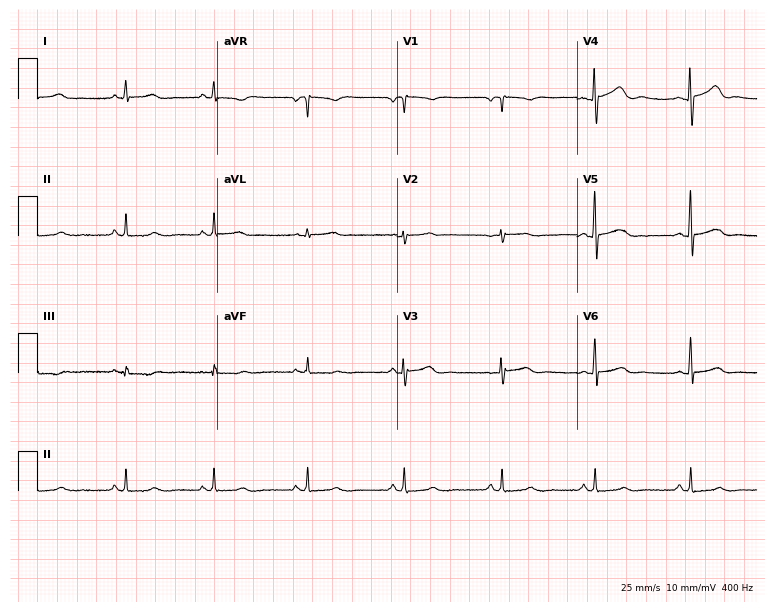
Resting 12-lead electrocardiogram. Patient: a female, 46 years old. Read as a normal ECG.